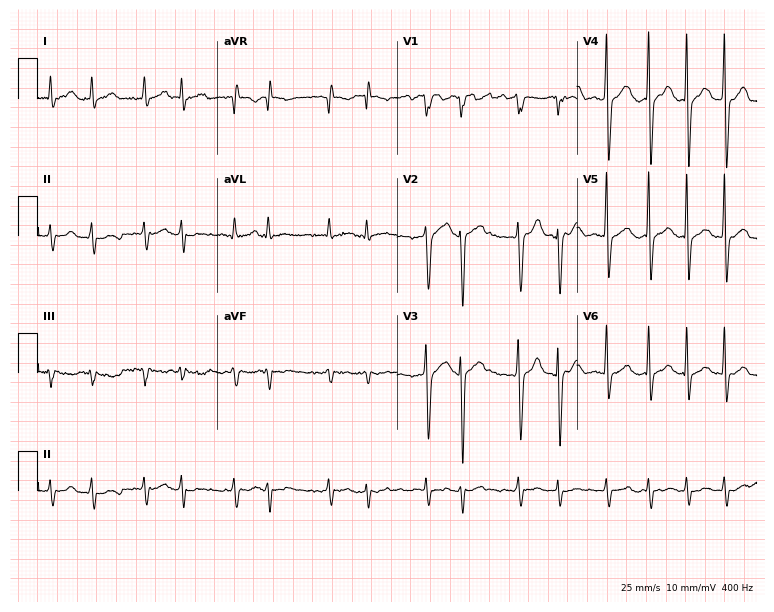
Standard 12-lead ECG recorded from a 71-year-old male. None of these six findings is recorded: first-degree AV block, right bundle branch block, left bundle branch block, sinus bradycardia, atrial fibrillation, sinus tachycardia.